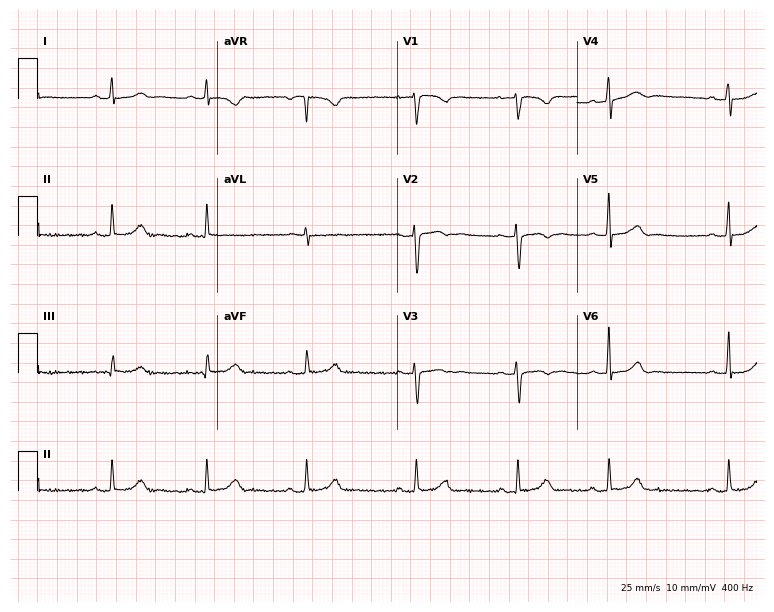
Standard 12-lead ECG recorded from a woman, 19 years old (7.3-second recording at 400 Hz). Read as a normal ECG.